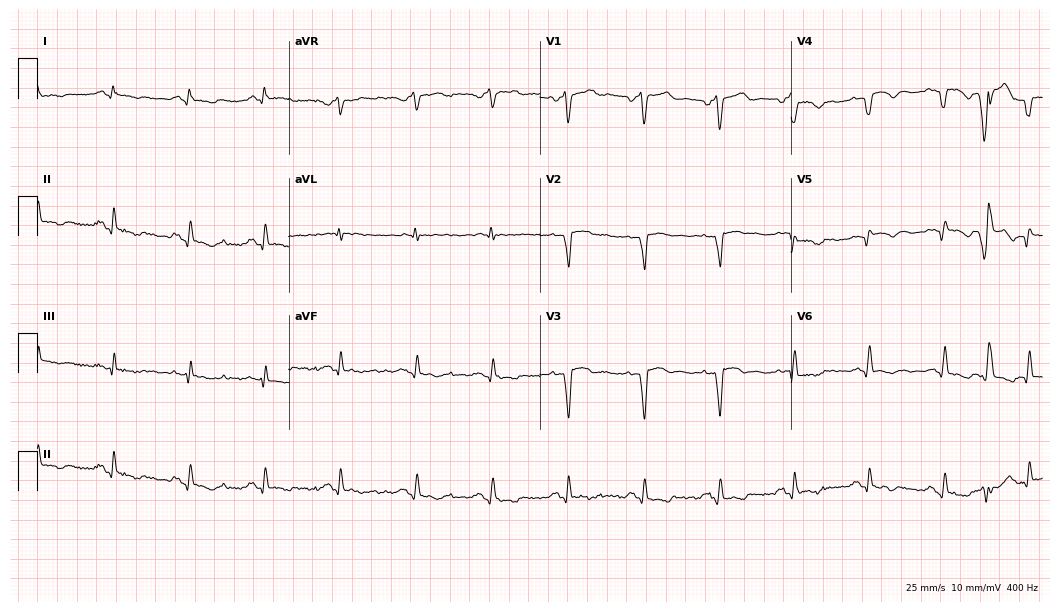
ECG (10.2-second recording at 400 Hz) — a 61-year-old man. Screened for six findings — first-degree AV block, right bundle branch block (RBBB), left bundle branch block (LBBB), sinus bradycardia, atrial fibrillation (AF), sinus tachycardia — none is recorded.